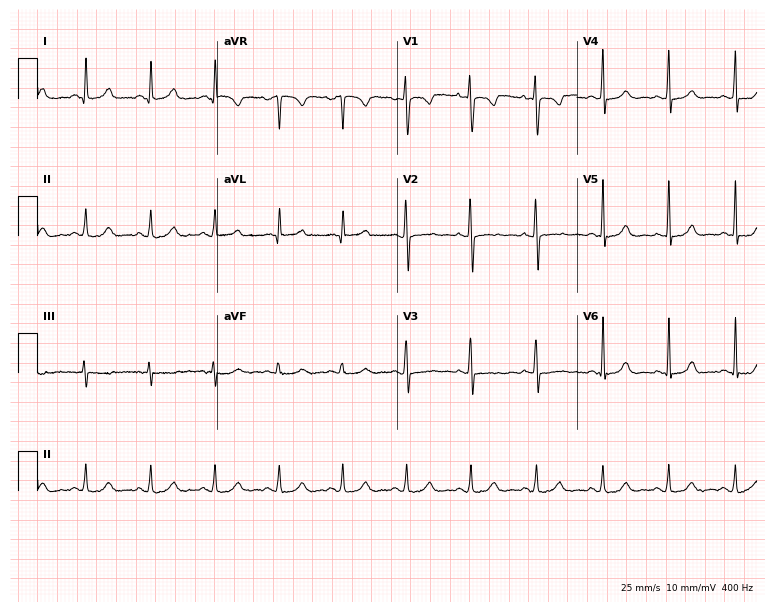
12-lead ECG from a female patient, 28 years old. Screened for six findings — first-degree AV block, right bundle branch block (RBBB), left bundle branch block (LBBB), sinus bradycardia, atrial fibrillation (AF), sinus tachycardia — none is recorded. Findings outside these six are not listed.